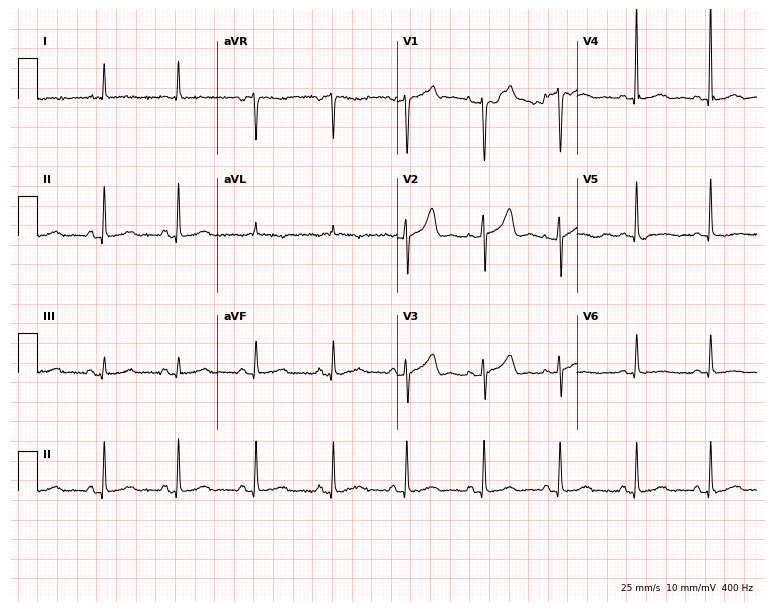
12-lead ECG from a 79-year-old woman. No first-degree AV block, right bundle branch block, left bundle branch block, sinus bradycardia, atrial fibrillation or sinus tachycardia recorded for this tracing.